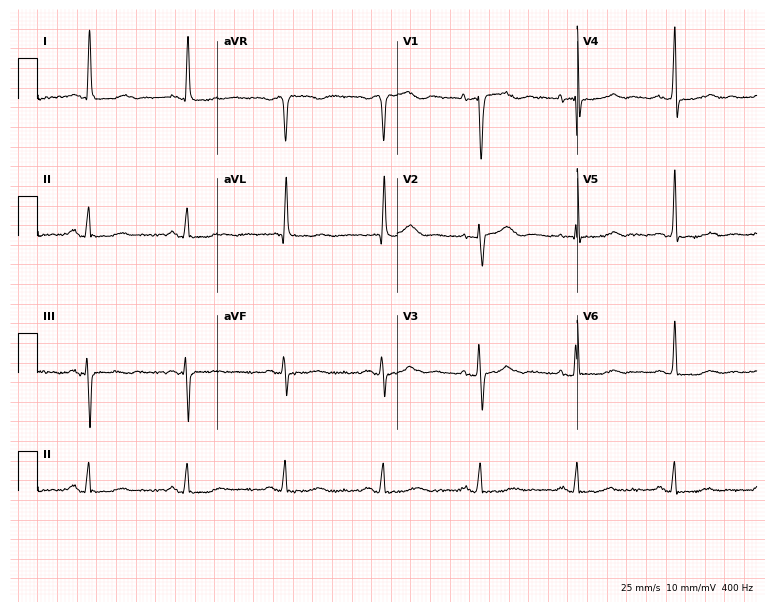
12-lead ECG (7.3-second recording at 400 Hz) from a female patient, 79 years old. Screened for six findings — first-degree AV block, right bundle branch block (RBBB), left bundle branch block (LBBB), sinus bradycardia, atrial fibrillation (AF), sinus tachycardia — none is recorded. Other findings, if any, are not listed.